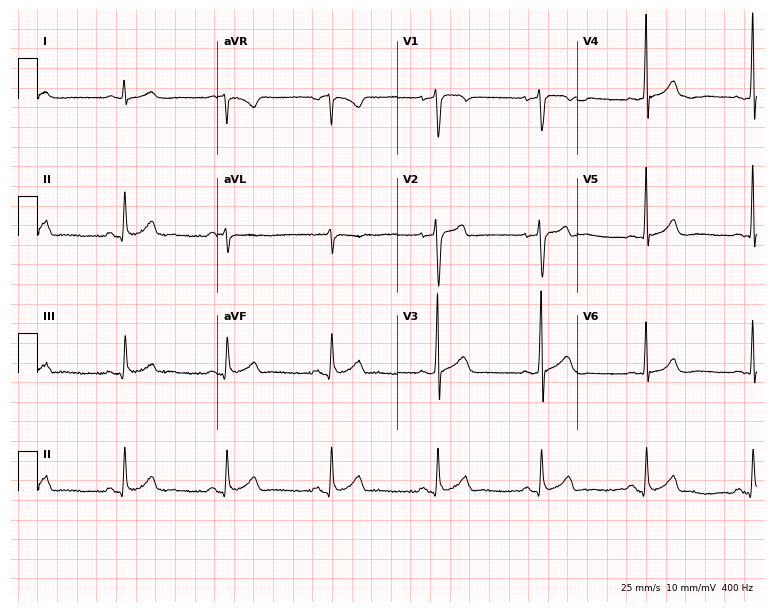
12-lead ECG from a 34-year-old male patient. Screened for six findings — first-degree AV block, right bundle branch block, left bundle branch block, sinus bradycardia, atrial fibrillation, sinus tachycardia — none is recorded.